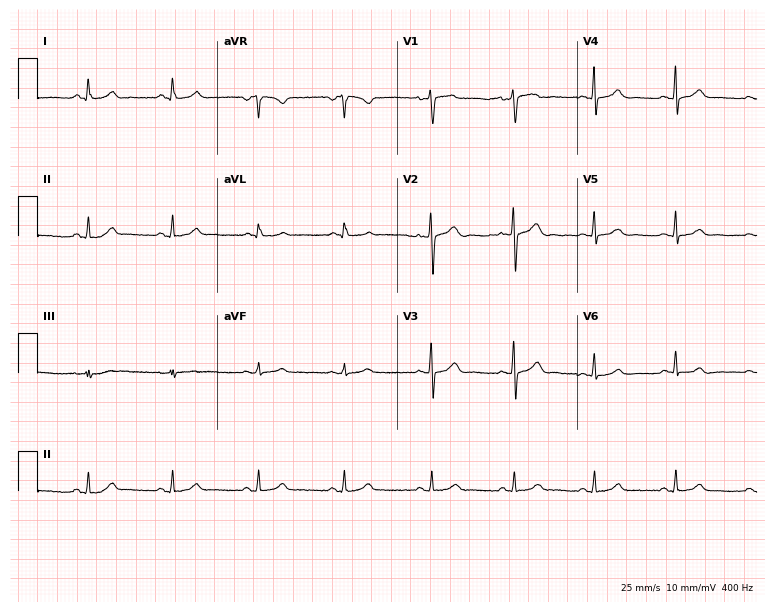
Standard 12-lead ECG recorded from a female, 34 years old. None of these six findings is recorded: first-degree AV block, right bundle branch block (RBBB), left bundle branch block (LBBB), sinus bradycardia, atrial fibrillation (AF), sinus tachycardia.